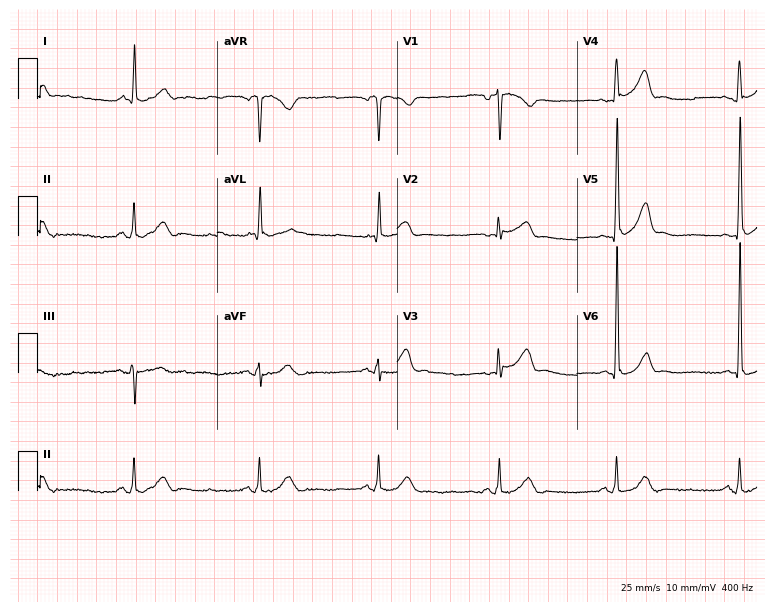
12-lead ECG from a male patient, 77 years old. No first-degree AV block, right bundle branch block (RBBB), left bundle branch block (LBBB), sinus bradycardia, atrial fibrillation (AF) or sinus tachycardia recorded for this tracing.